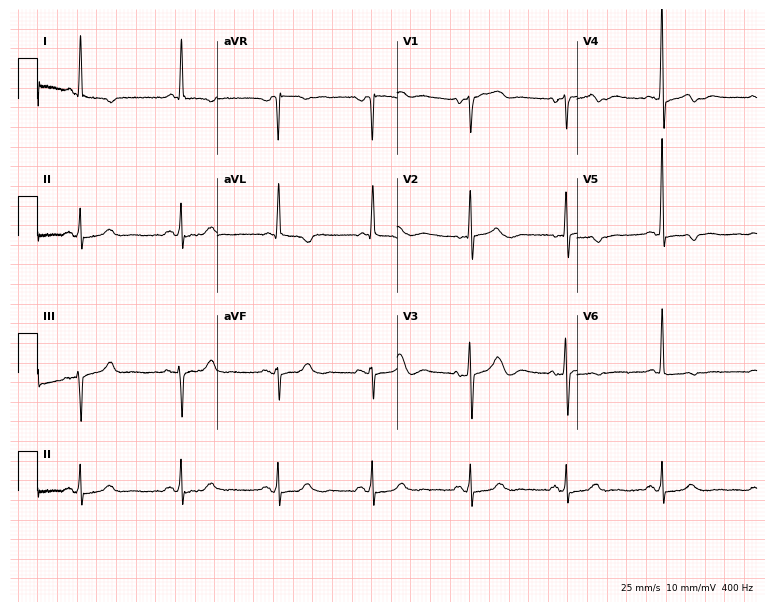
12-lead ECG from a female patient, 86 years old (7.3-second recording at 400 Hz). No first-degree AV block, right bundle branch block, left bundle branch block, sinus bradycardia, atrial fibrillation or sinus tachycardia recorded for this tracing.